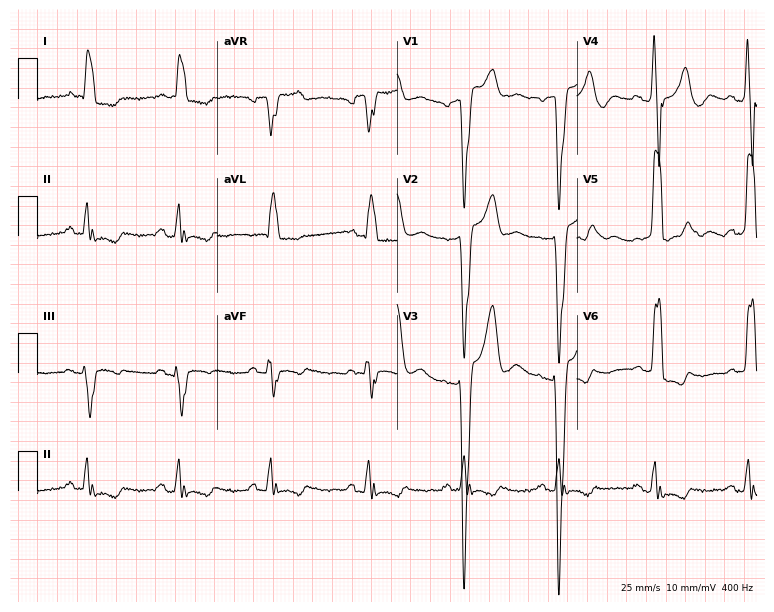
ECG (7.3-second recording at 400 Hz) — a 71-year-old female patient. Findings include left bundle branch block.